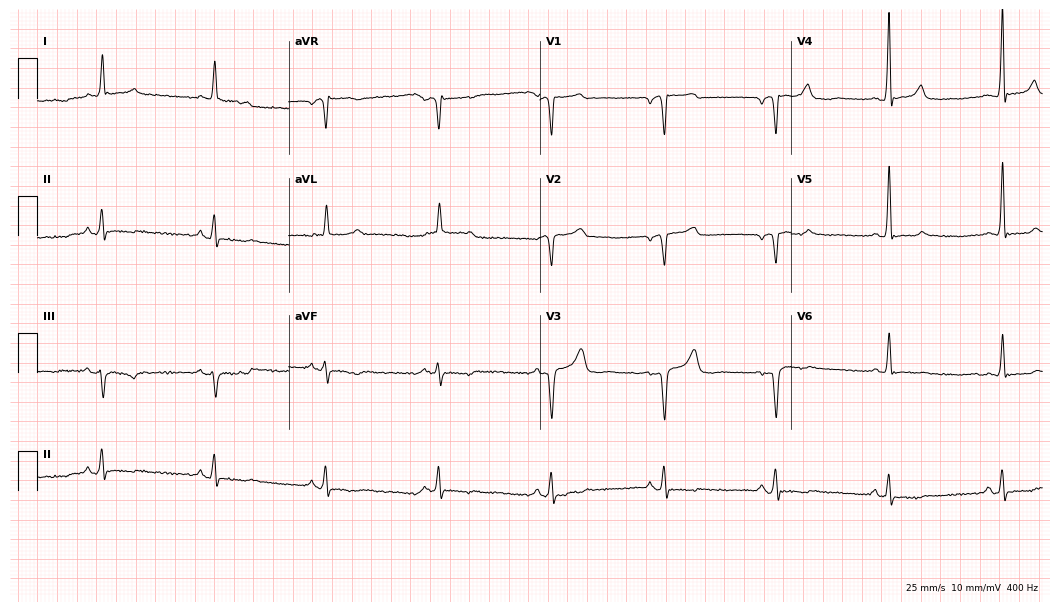
Electrocardiogram, a 65-year-old man. Overall reading on record: normal ECG.